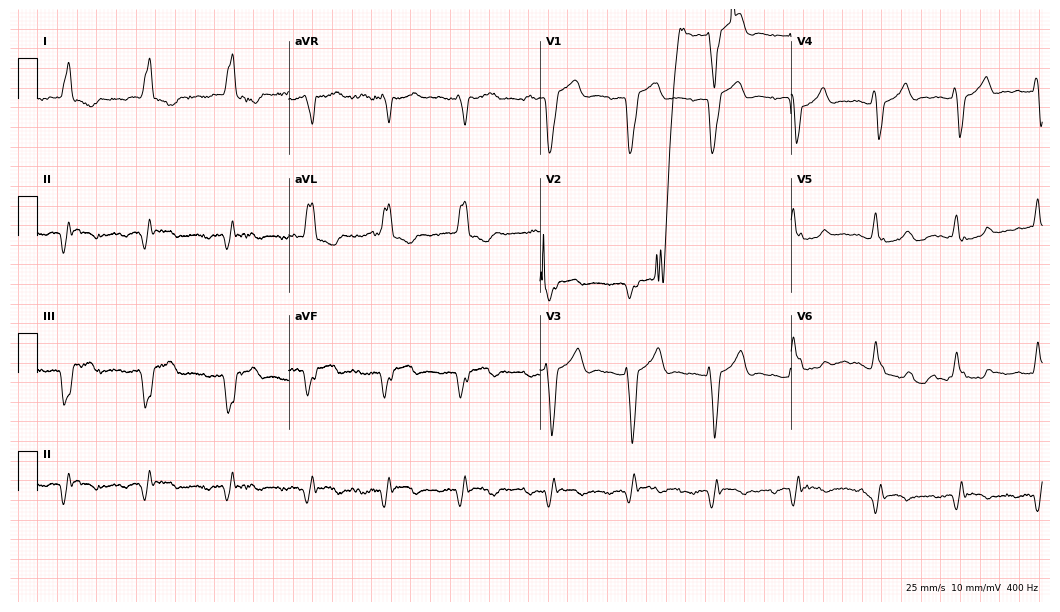
12-lead ECG from a male patient, 82 years old (10.2-second recording at 400 Hz). No first-degree AV block, right bundle branch block (RBBB), left bundle branch block (LBBB), sinus bradycardia, atrial fibrillation (AF) or sinus tachycardia recorded for this tracing.